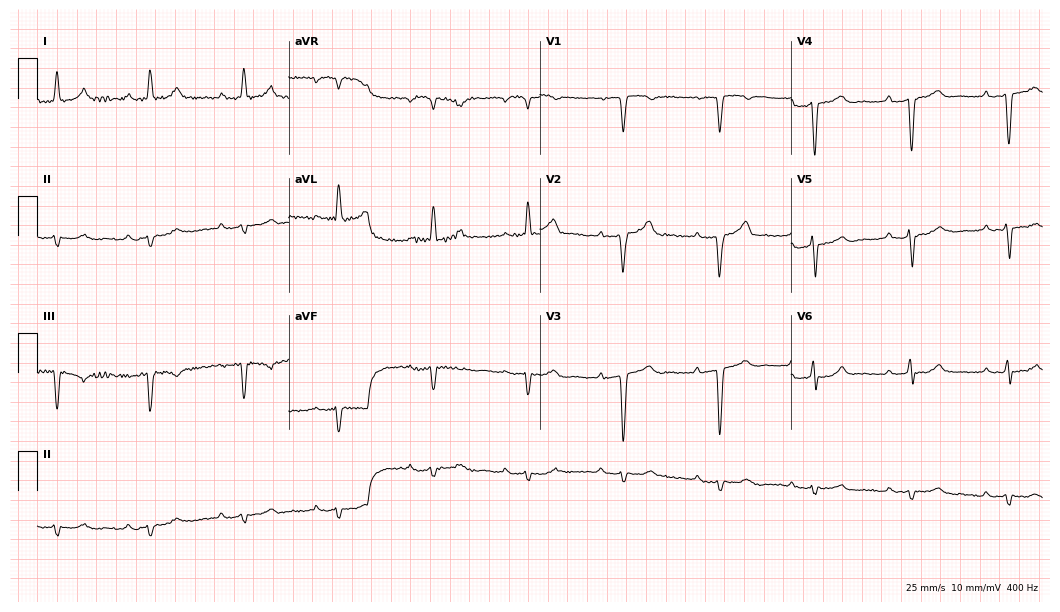
12-lead ECG from an 85-year-old man. No first-degree AV block, right bundle branch block, left bundle branch block, sinus bradycardia, atrial fibrillation or sinus tachycardia recorded for this tracing.